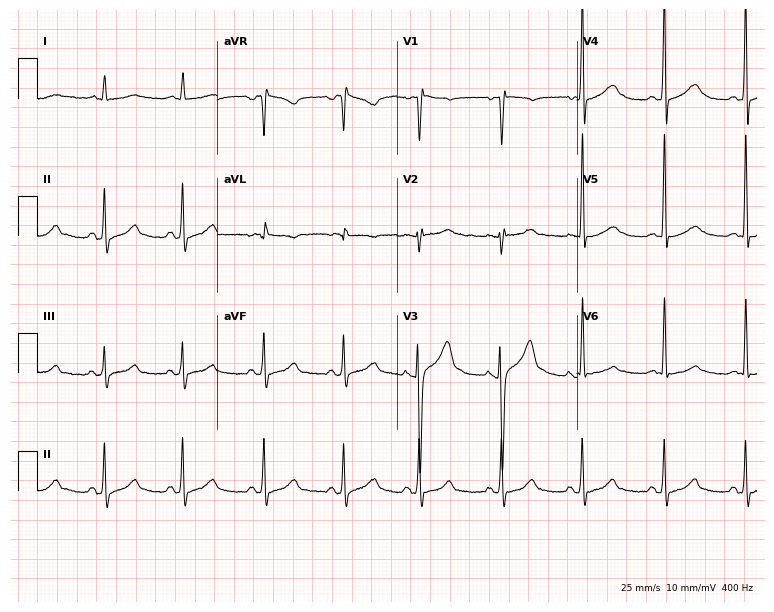
Standard 12-lead ECG recorded from a male, 18 years old (7.3-second recording at 400 Hz). Read as a normal ECG.